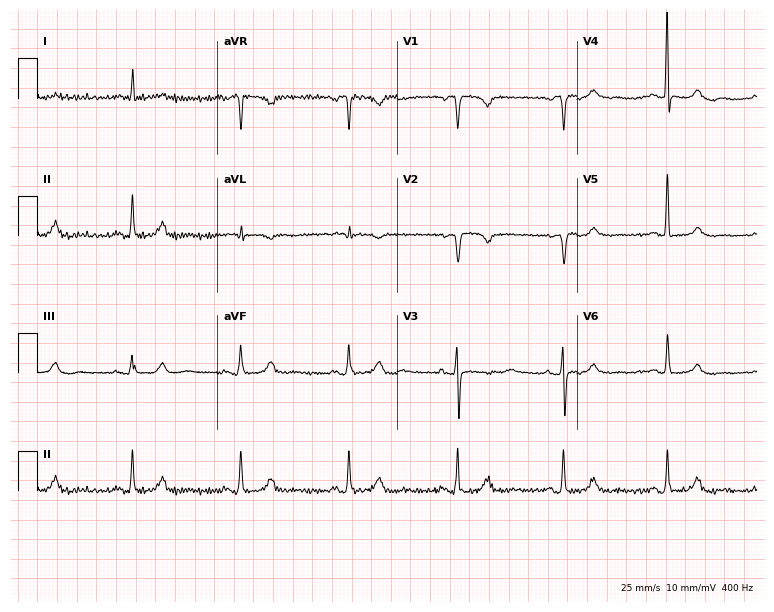
Standard 12-lead ECG recorded from a female patient, 76 years old (7.3-second recording at 400 Hz). None of these six findings is recorded: first-degree AV block, right bundle branch block (RBBB), left bundle branch block (LBBB), sinus bradycardia, atrial fibrillation (AF), sinus tachycardia.